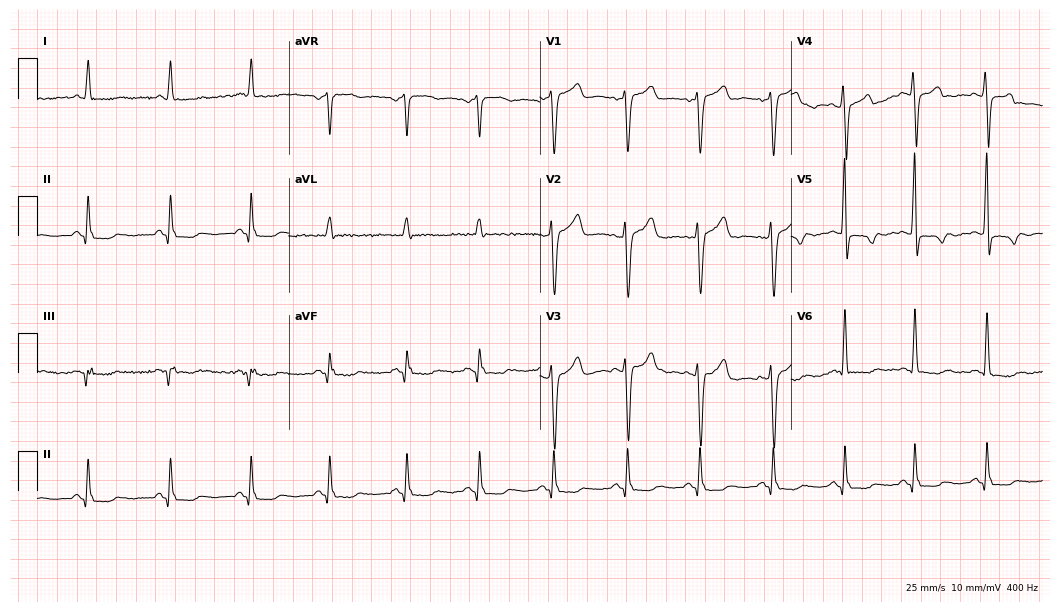
12-lead ECG (10.2-second recording at 400 Hz) from a male patient, 59 years old. Screened for six findings — first-degree AV block, right bundle branch block (RBBB), left bundle branch block (LBBB), sinus bradycardia, atrial fibrillation (AF), sinus tachycardia — none is recorded. Other findings, if any, are not listed.